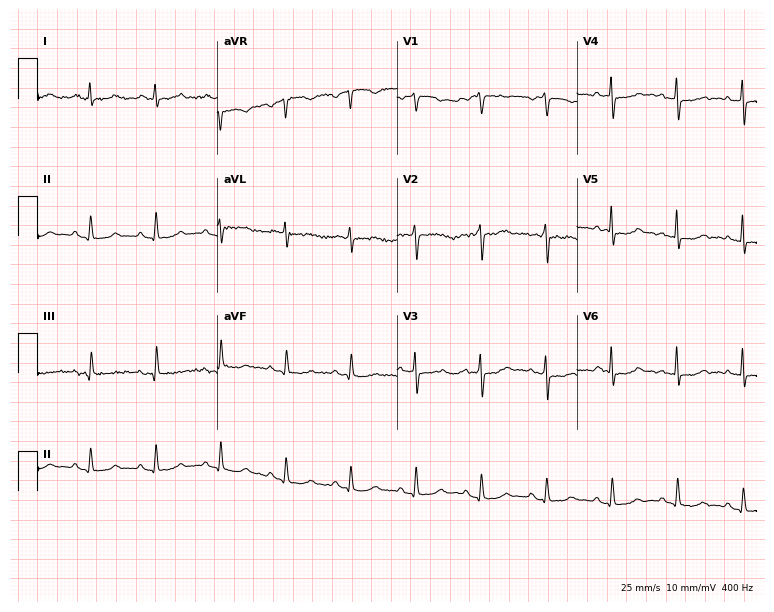
12-lead ECG (7.3-second recording at 400 Hz) from a female patient, 78 years old. Screened for six findings — first-degree AV block, right bundle branch block, left bundle branch block, sinus bradycardia, atrial fibrillation, sinus tachycardia — none is recorded. Other findings, if any, are not listed.